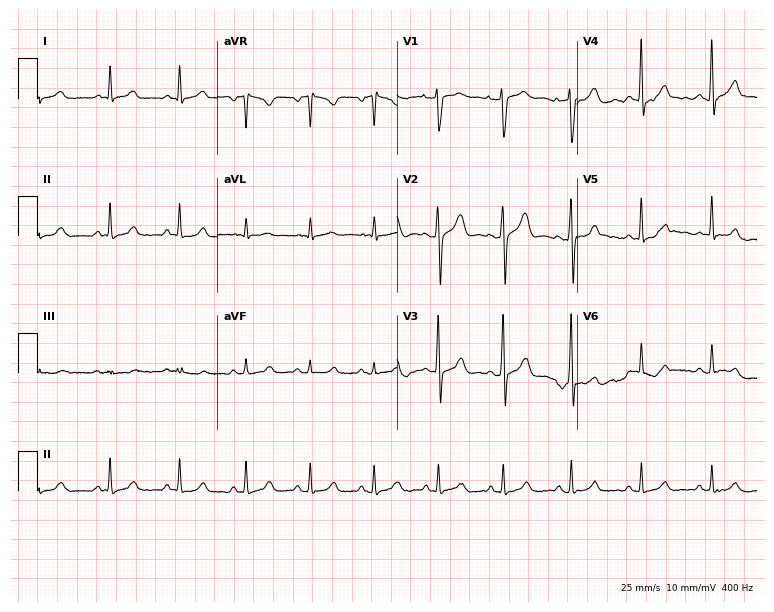
12-lead ECG from a man, 42 years old (7.3-second recording at 400 Hz). Recorded interpretation: within normal limits.